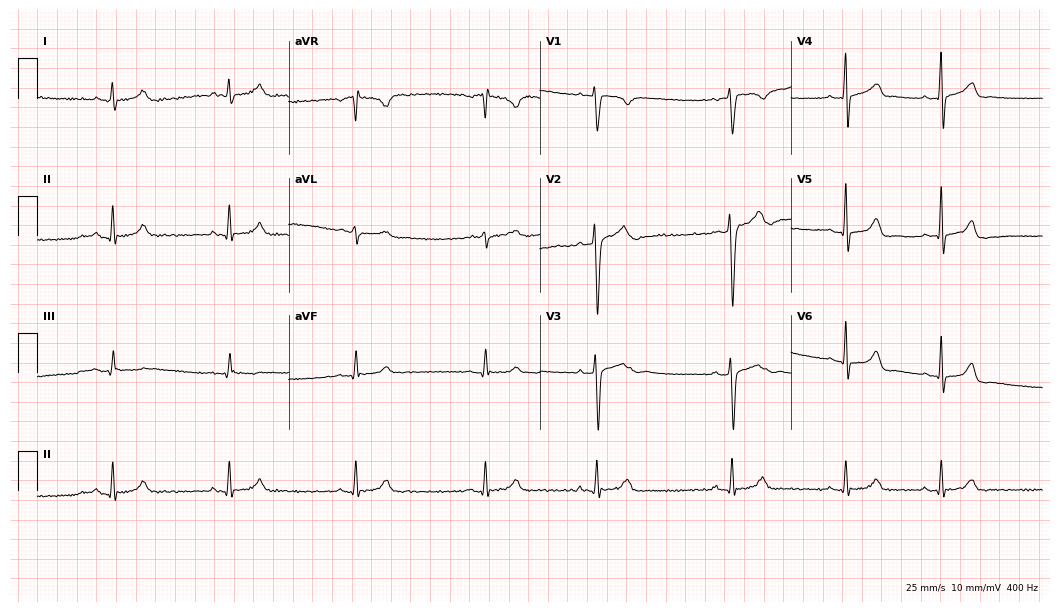
ECG (10.2-second recording at 400 Hz) — a male patient, 24 years old. Labelled as a normal ECG.